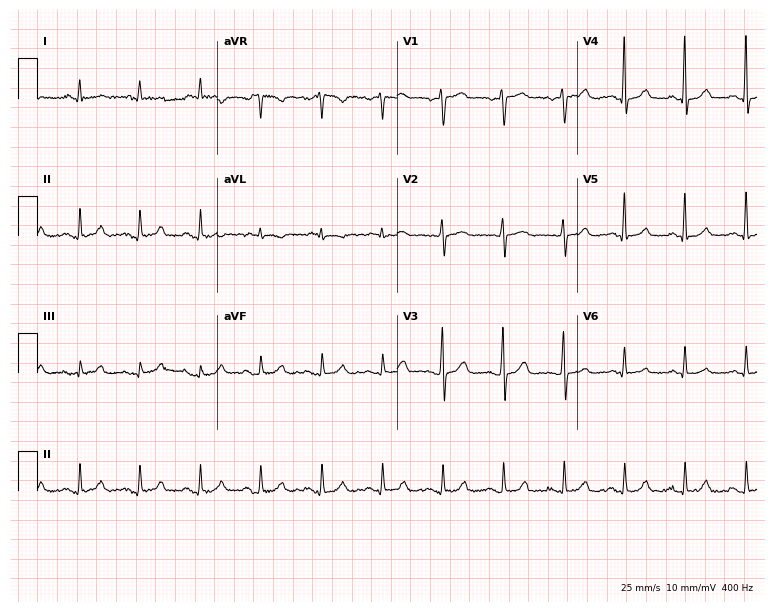
Resting 12-lead electrocardiogram. Patient: a man, 60 years old. Read as a normal ECG.